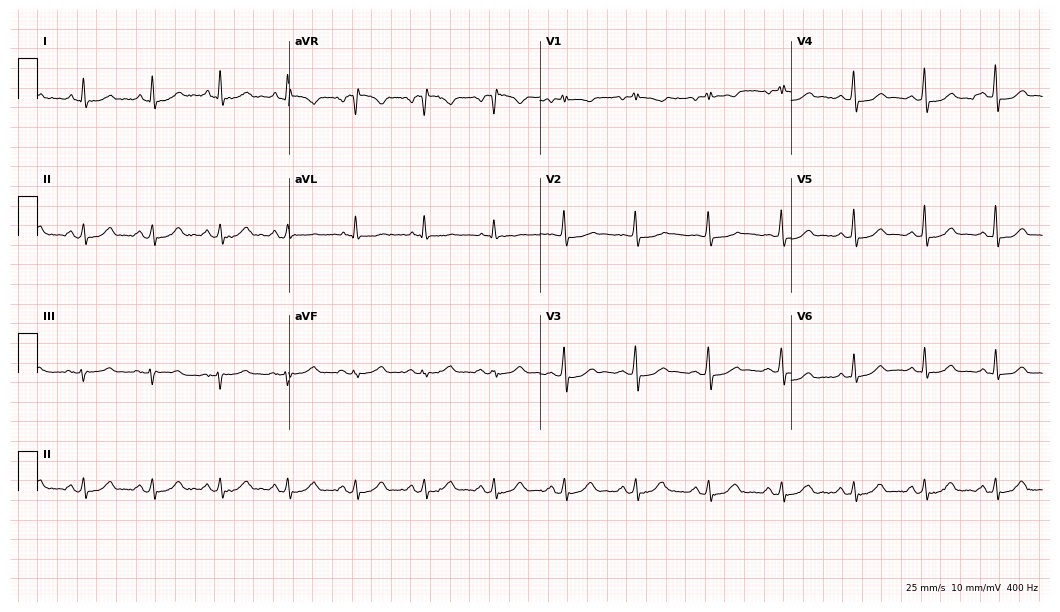
12-lead ECG from a woman, 54 years old (10.2-second recording at 400 Hz). Recorded interpretation: within normal limits.